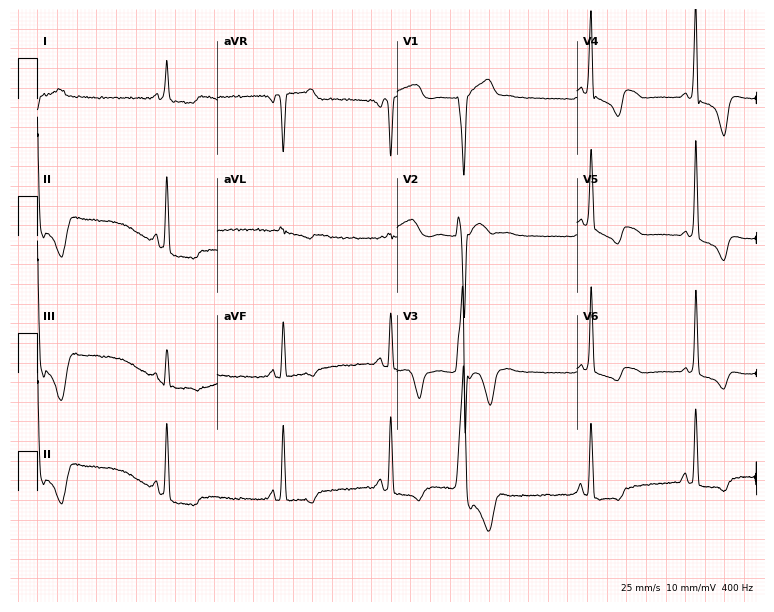
Resting 12-lead electrocardiogram. Patient: a female, 76 years old. None of these six findings is recorded: first-degree AV block, right bundle branch block (RBBB), left bundle branch block (LBBB), sinus bradycardia, atrial fibrillation (AF), sinus tachycardia. Only these six findings were labelled.